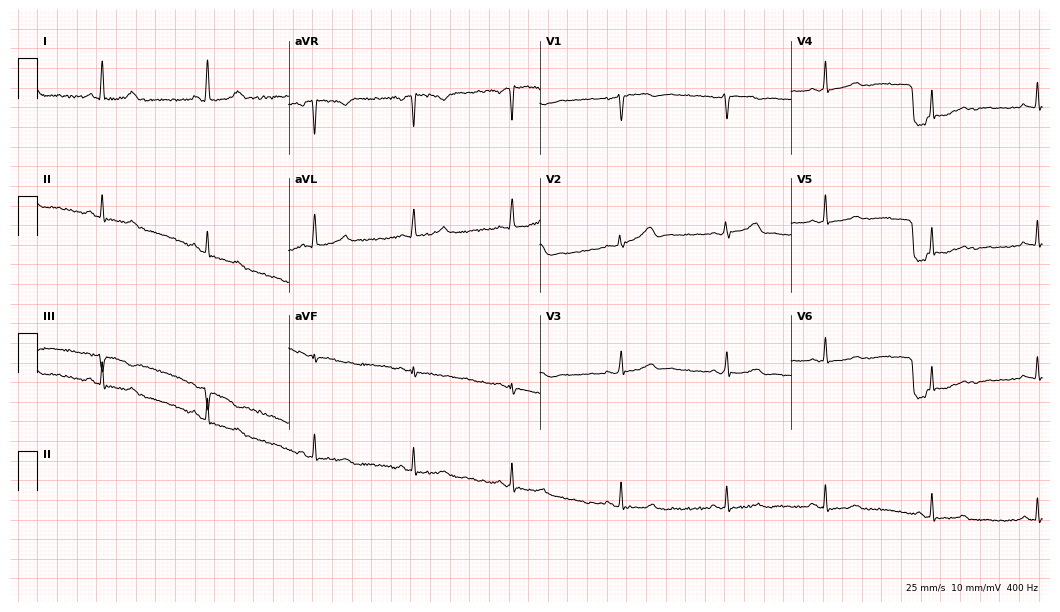
ECG — a 55-year-old female patient. Screened for six findings — first-degree AV block, right bundle branch block, left bundle branch block, sinus bradycardia, atrial fibrillation, sinus tachycardia — none is recorded. Only these six findings were labelled.